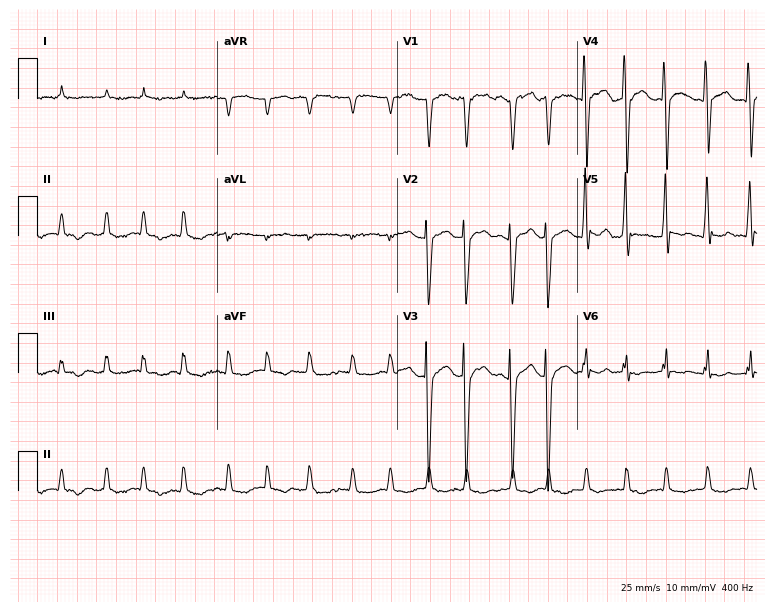
Electrocardiogram (7.3-second recording at 400 Hz), a 68-year-old man. Of the six screened findings (first-degree AV block, right bundle branch block (RBBB), left bundle branch block (LBBB), sinus bradycardia, atrial fibrillation (AF), sinus tachycardia), none is recorded. Findings outside these six are not listed.